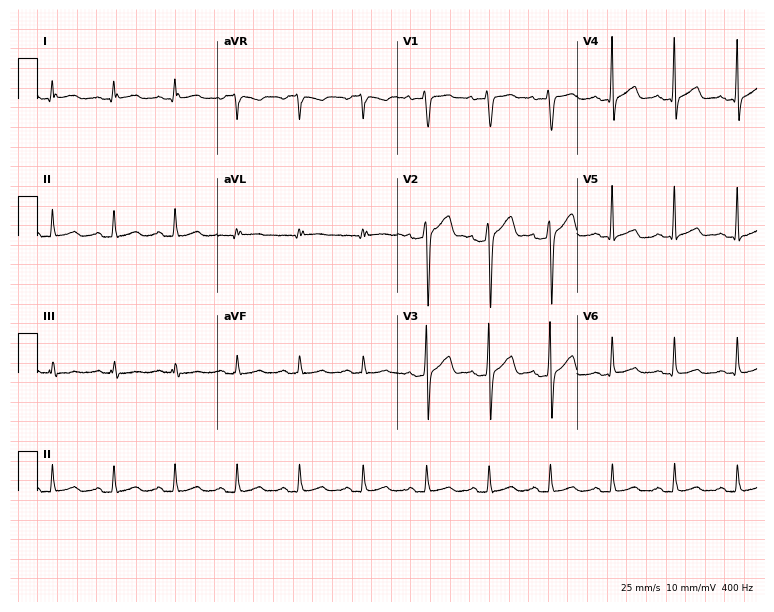
Electrocardiogram, a 51-year-old male. Overall reading on record: normal ECG.